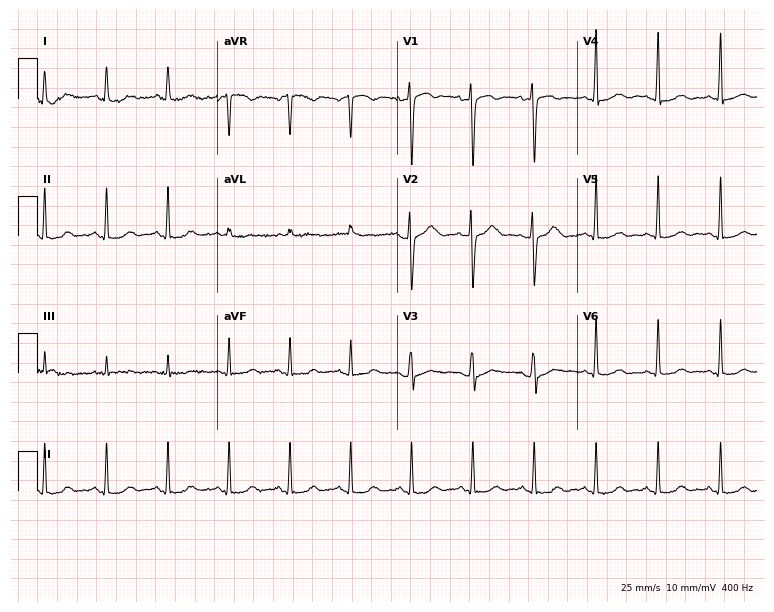
Standard 12-lead ECG recorded from a 32-year-old woman. None of these six findings is recorded: first-degree AV block, right bundle branch block, left bundle branch block, sinus bradycardia, atrial fibrillation, sinus tachycardia.